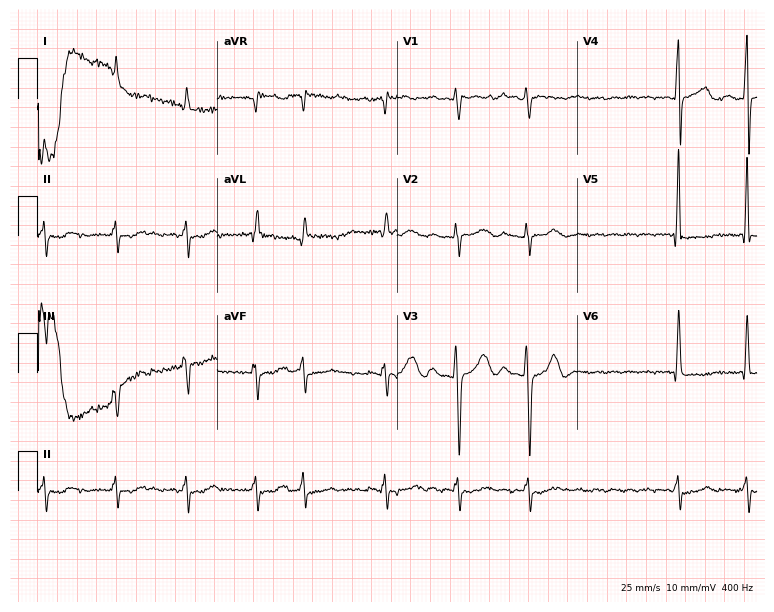
12-lead ECG from a 76-year-old man. Findings include atrial fibrillation.